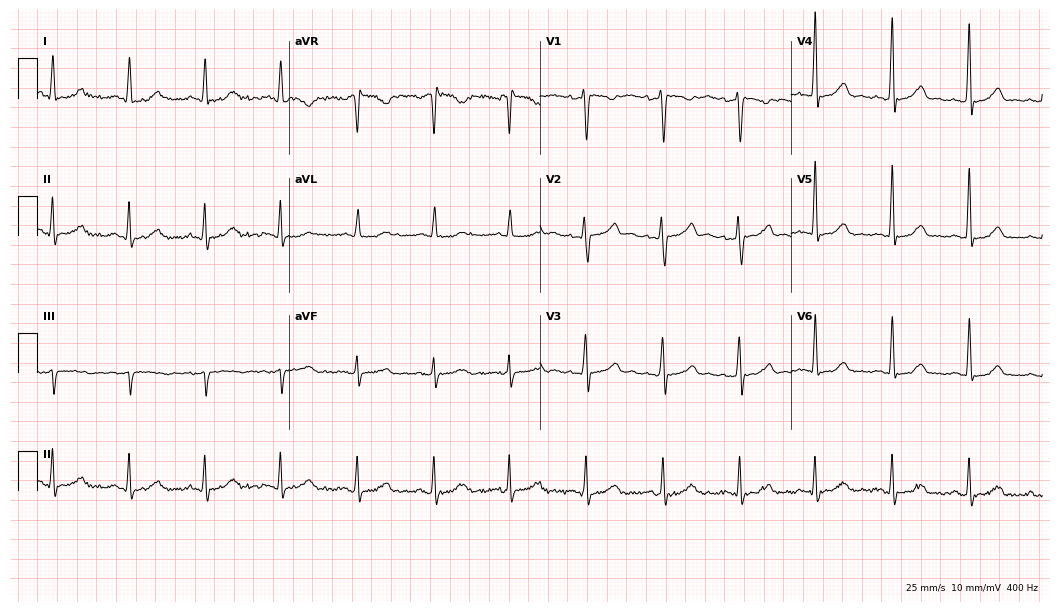
Electrocardiogram, a woman, 43 years old. Overall reading on record: normal ECG.